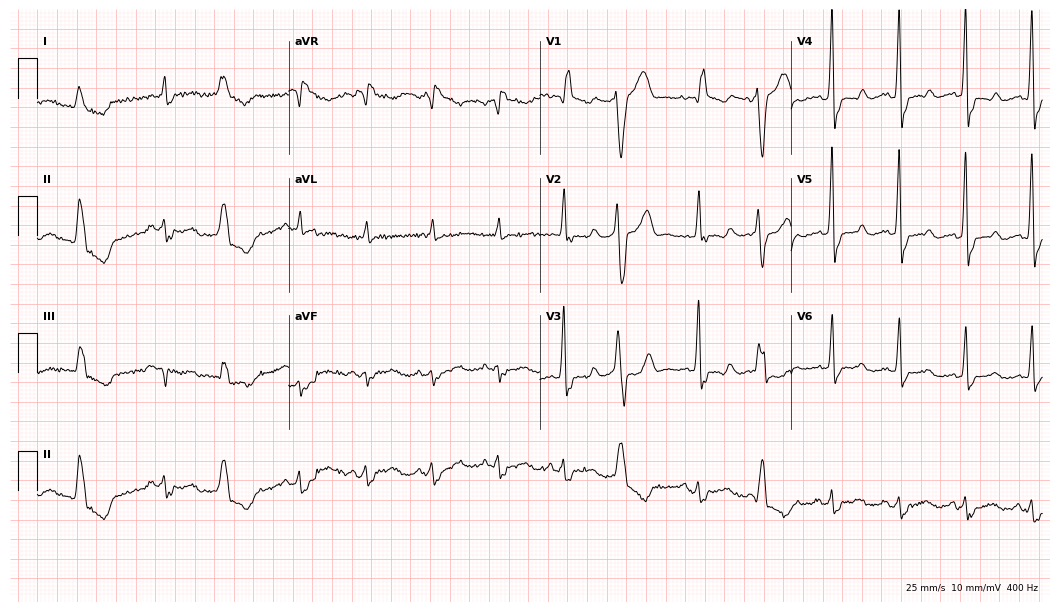
12-lead ECG from a male patient, 82 years old. Findings include right bundle branch block.